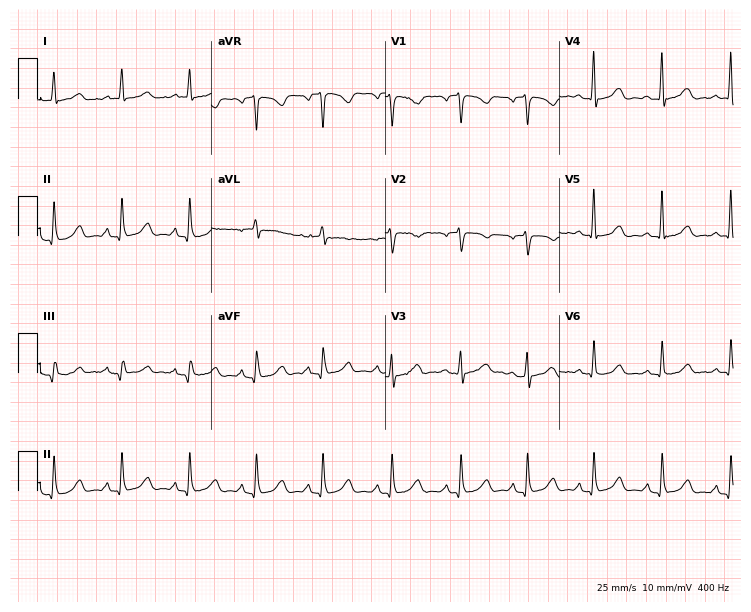
12-lead ECG from a woman, 52 years old. No first-degree AV block, right bundle branch block, left bundle branch block, sinus bradycardia, atrial fibrillation or sinus tachycardia recorded for this tracing. Findings outside these six are not listed.